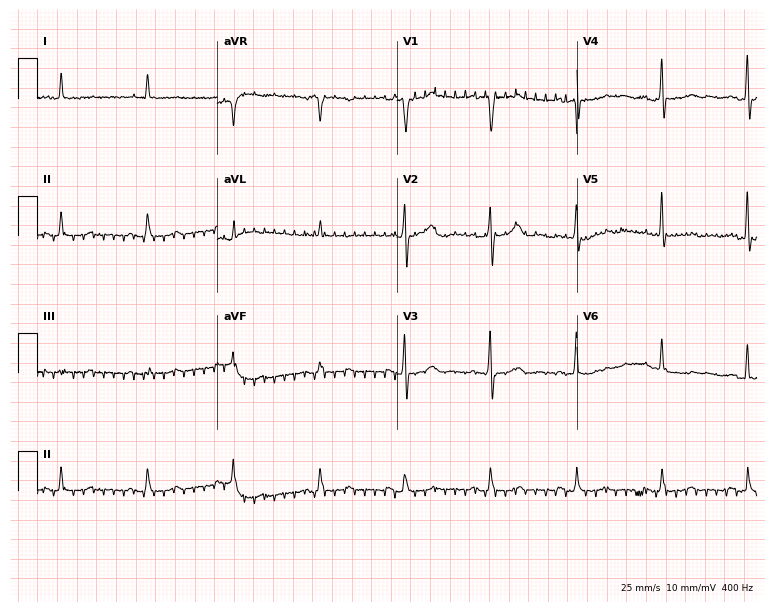
Electrocardiogram (7.3-second recording at 400 Hz), an 86-year-old man. Of the six screened findings (first-degree AV block, right bundle branch block, left bundle branch block, sinus bradycardia, atrial fibrillation, sinus tachycardia), none is recorded.